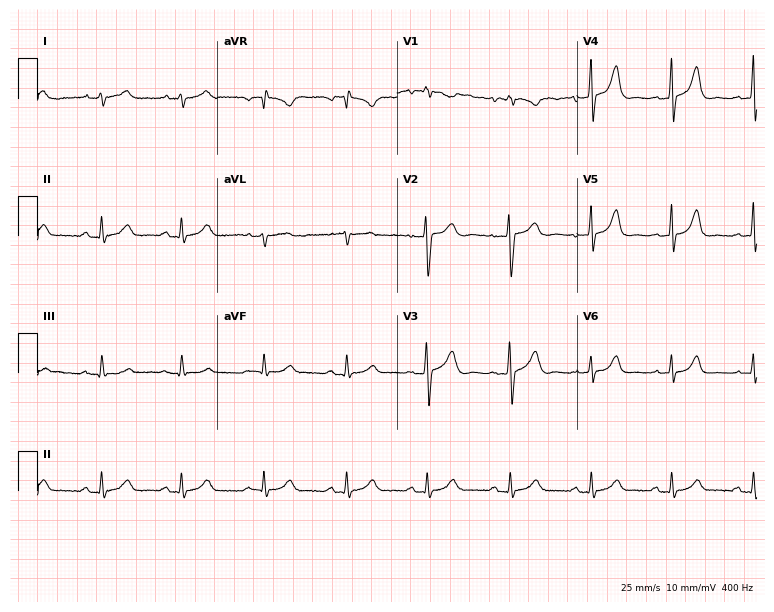
12-lead ECG from a 52-year-old male. Labelled as a normal ECG.